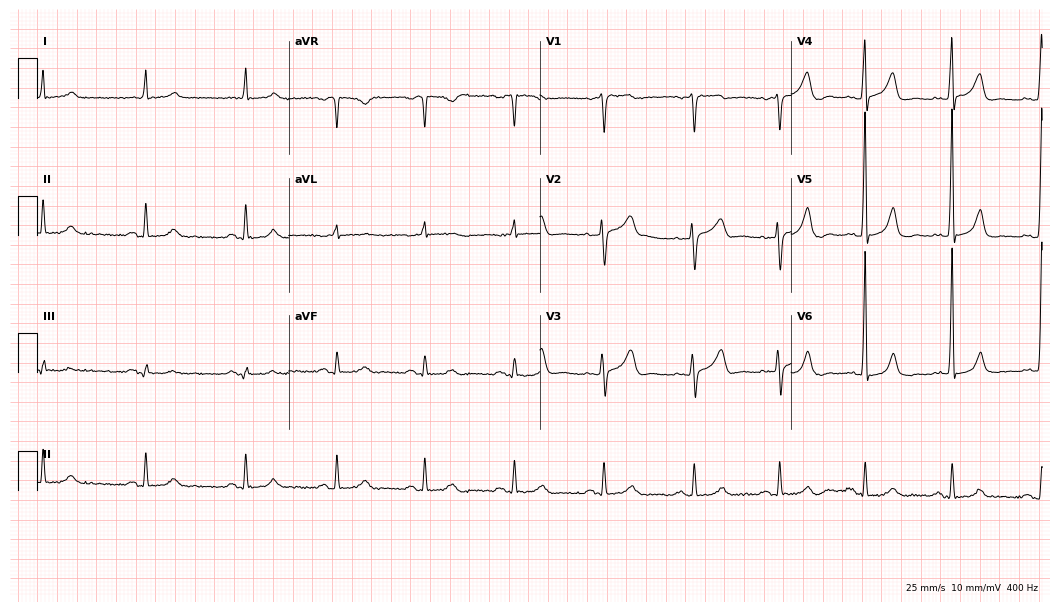
ECG (10.2-second recording at 400 Hz) — a man, 82 years old. Screened for six findings — first-degree AV block, right bundle branch block (RBBB), left bundle branch block (LBBB), sinus bradycardia, atrial fibrillation (AF), sinus tachycardia — none is recorded. Only these six findings were labelled.